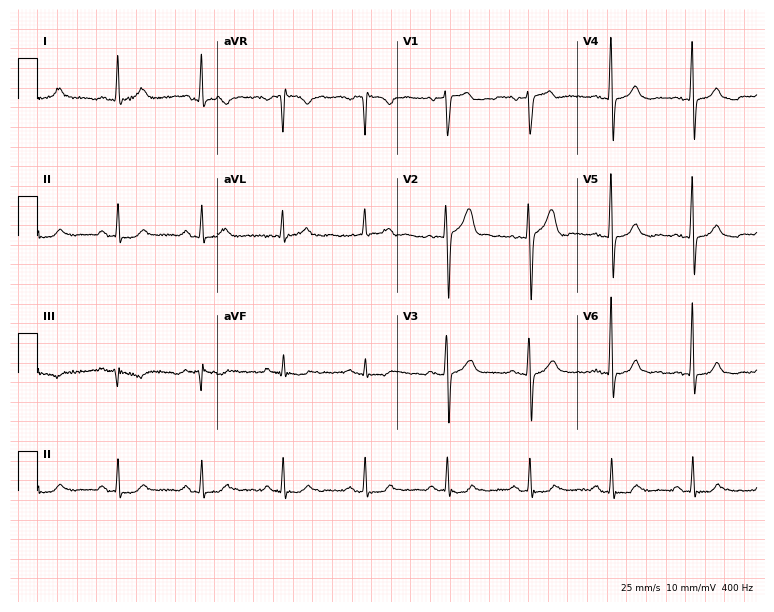
12-lead ECG from a male, 63 years old. Labelled as a normal ECG.